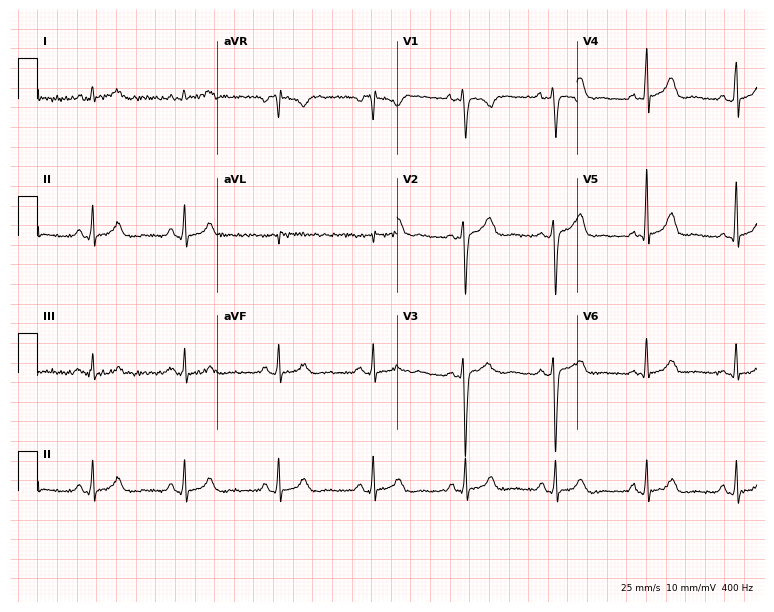
Resting 12-lead electrocardiogram. Patient: a male, 55 years old. Read as a normal ECG.